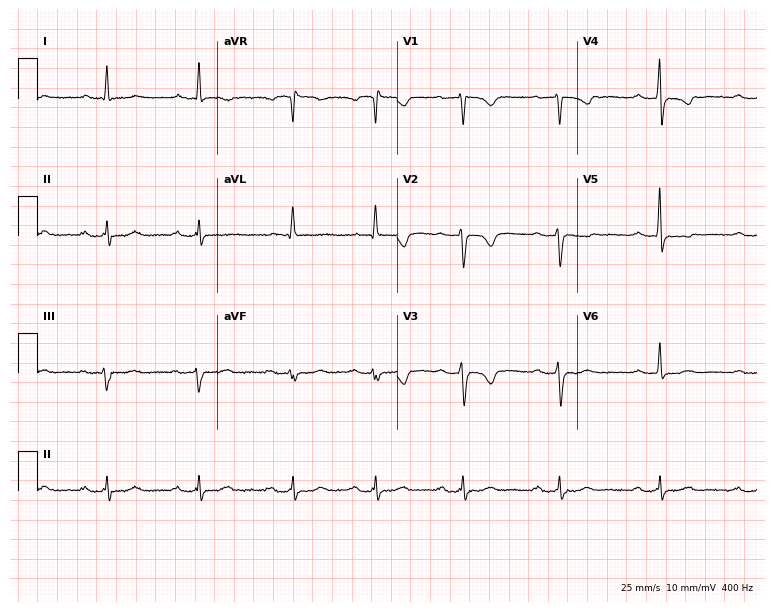
ECG — a female, 56 years old. Screened for six findings — first-degree AV block, right bundle branch block (RBBB), left bundle branch block (LBBB), sinus bradycardia, atrial fibrillation (AF), sinus tachycardia — none is recorded. Only these six findings were labelled.